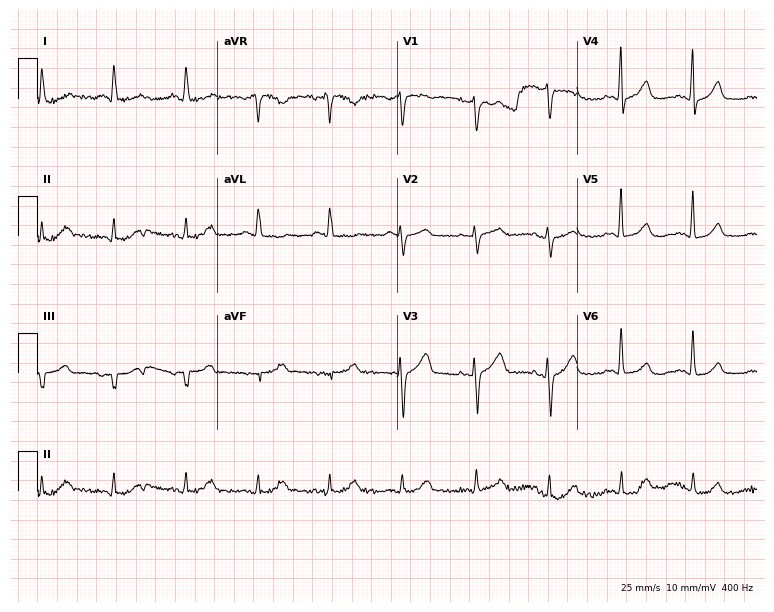
12-lead ECG from an 80-year-old woman (7.3-second recording at 400 Hz). Recorded interpretation: within normal limits.